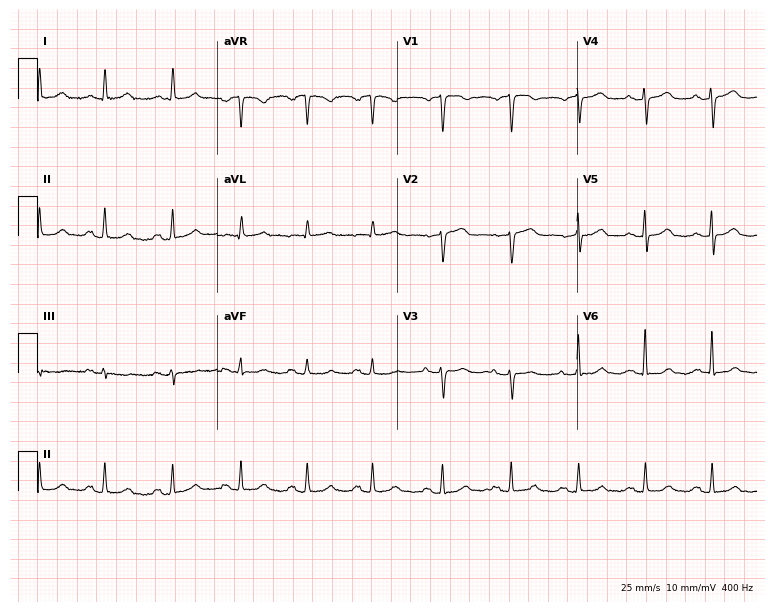
Electrocardiogram (7.3-second recording at 400 Hz), a female patient, 54 years old. Overall reading on record: normal ECG.